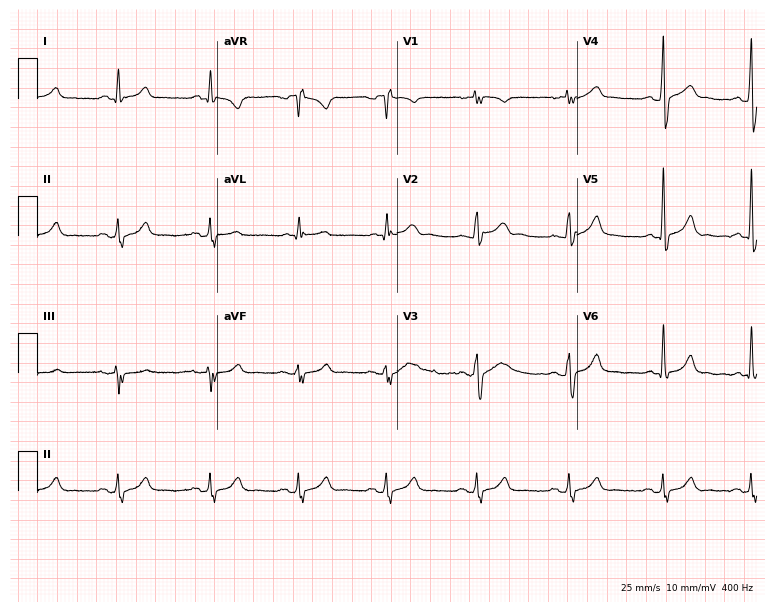
12-lead ECG from a 24-year-old male patient. No first-degree AV block, right bundle branch block, left bundle branch block, sinus bradycardia, atrial fibrillation or sinus tachycardia recorded for this tracing. Findings outside these six are not listed.